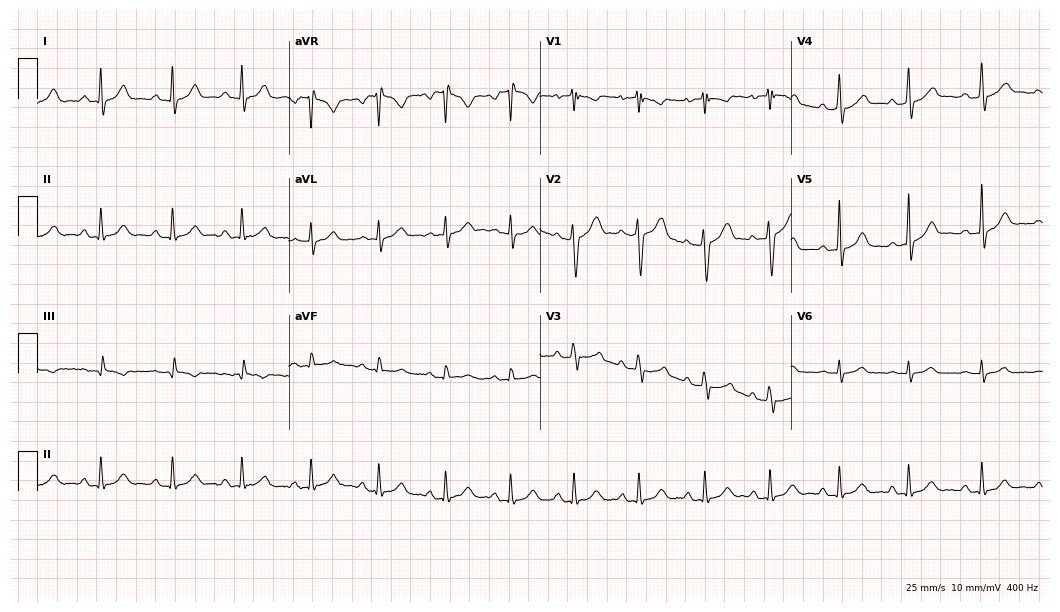
Electrocardiogram (10.2-second recording at 400 Hz), a male patient, 27 years old. Overall reading on record: normal ECG.